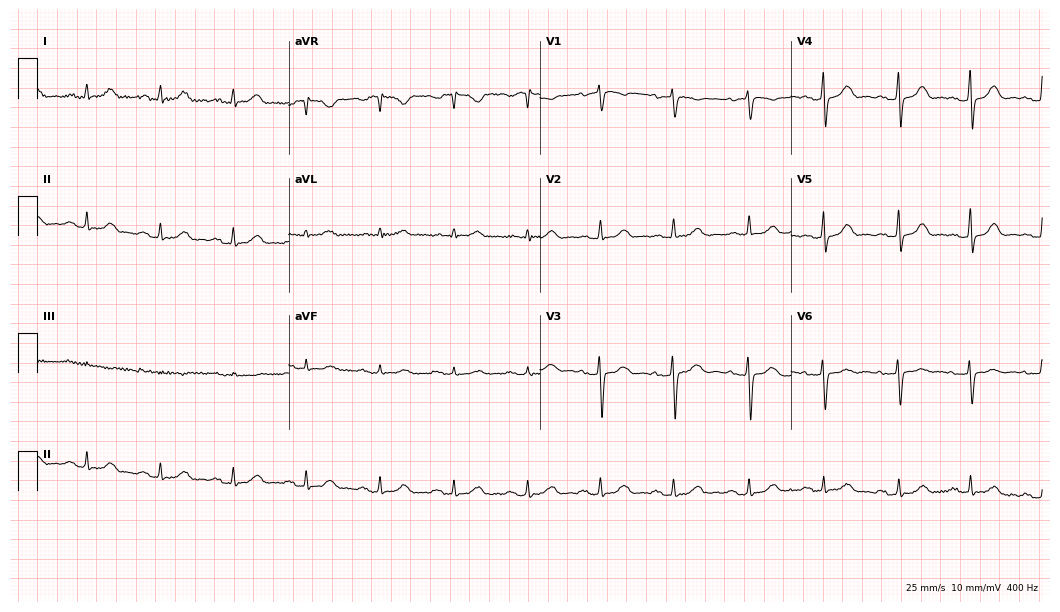
Electrocardiogram, a 62-year-old female patient. Overall reading on record: normal ECG.